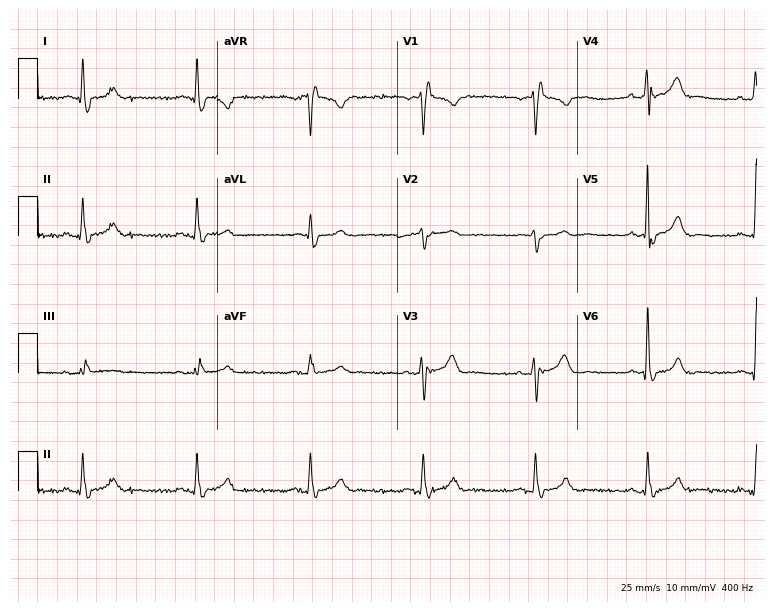
ECG — a 60-year-old male. Findings include right bundle branch block.